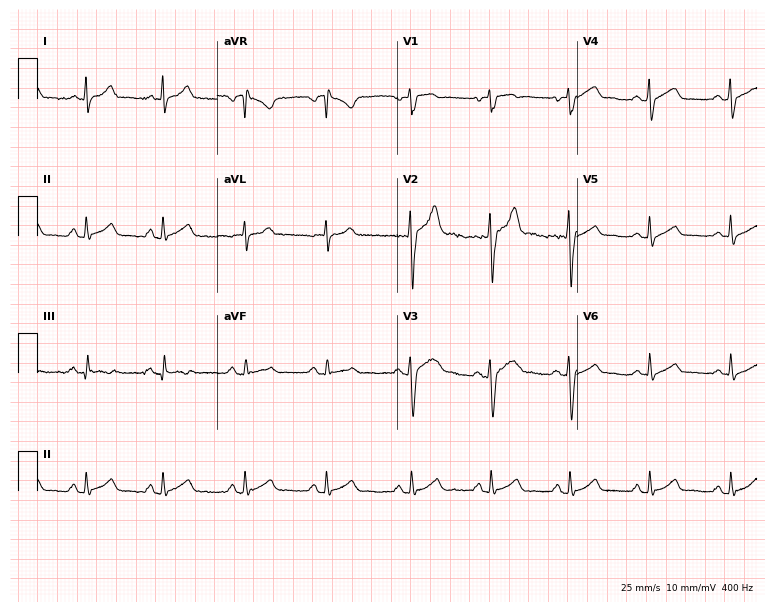
12-lead ECG from a male, 18 years old. No first-degree AV block, right bundle branch block, left bundle branch block, sinus bradycardia, atrial fibrillation or sinus tachycardia recorded for this tracing.